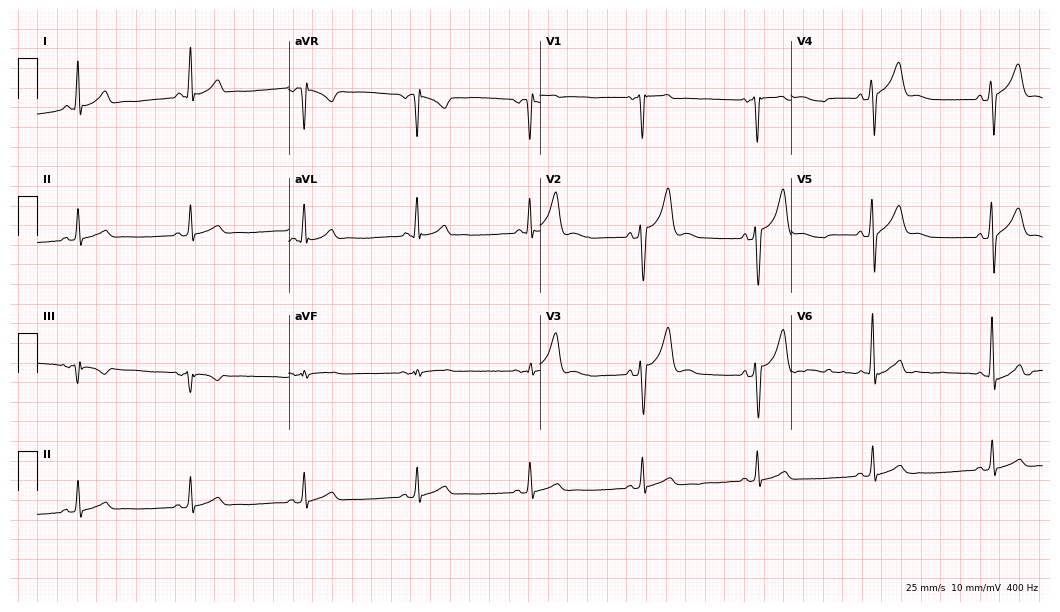
12-lead ECG from a 45-year-old male. Recorded interpretation: within normal limits.